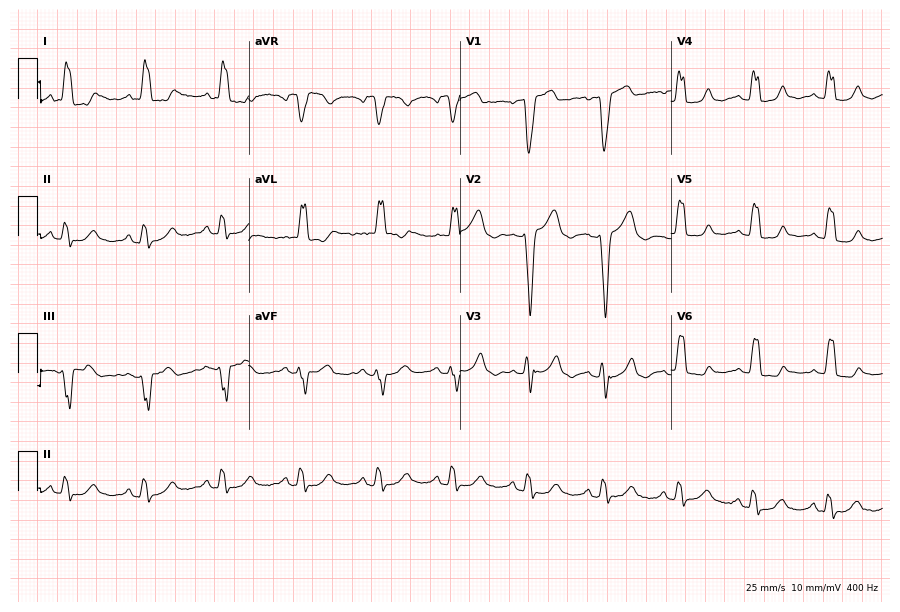
12-lead ECG (8.6-second recording at 400 Hz) from a woman, 61 years old. Screened for six findings — first-degree AV block, right bundle branch block (RBBB), left bundle branch block (LBBB), sinus bradycardia, atrial fibrillation (AF), sinus tachycardia — none is recorded.